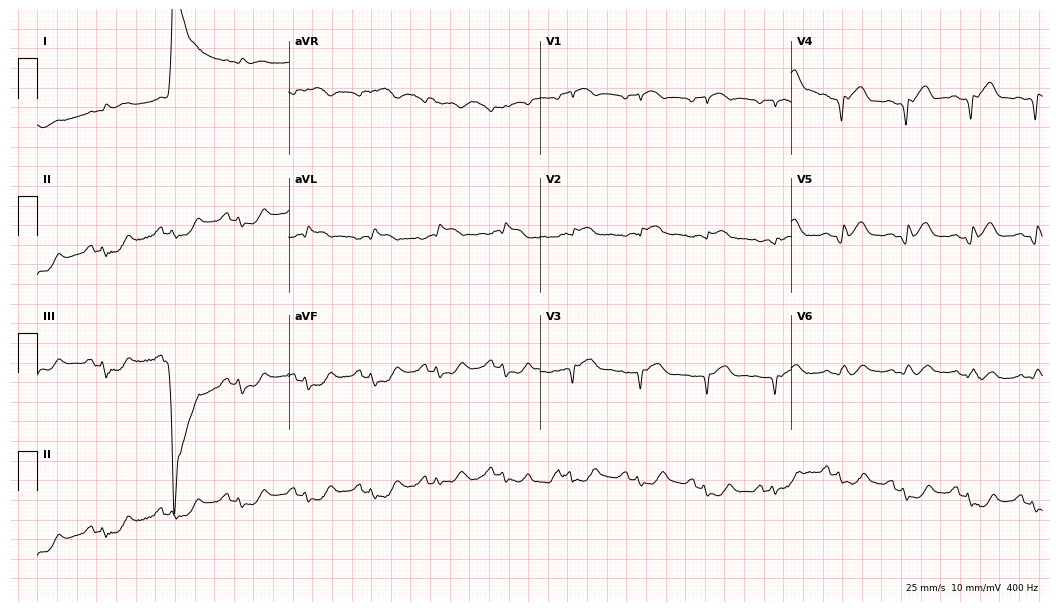
ECG (10.2-second recording at 400 Hz) — a man, 78 years old. Screened for six findings — first-degree AV block, right bundle branch block, left bundle branch block, sinus bradycardia, atrial fibrillation, sinus tachycardia — none is recorded.